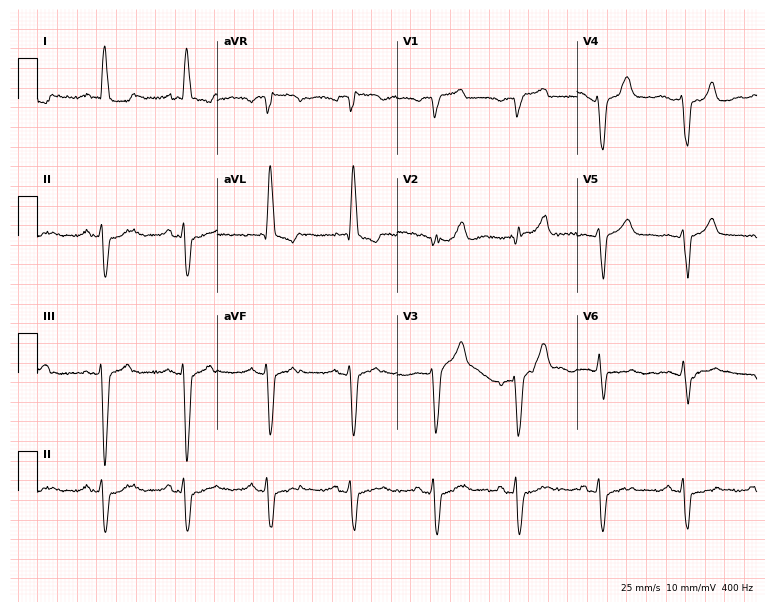
Standard 12-lead ECG recorded from a 76-year-old woman (7.3-second recording at 400 Hz). The tracing shows left bundle branch block.